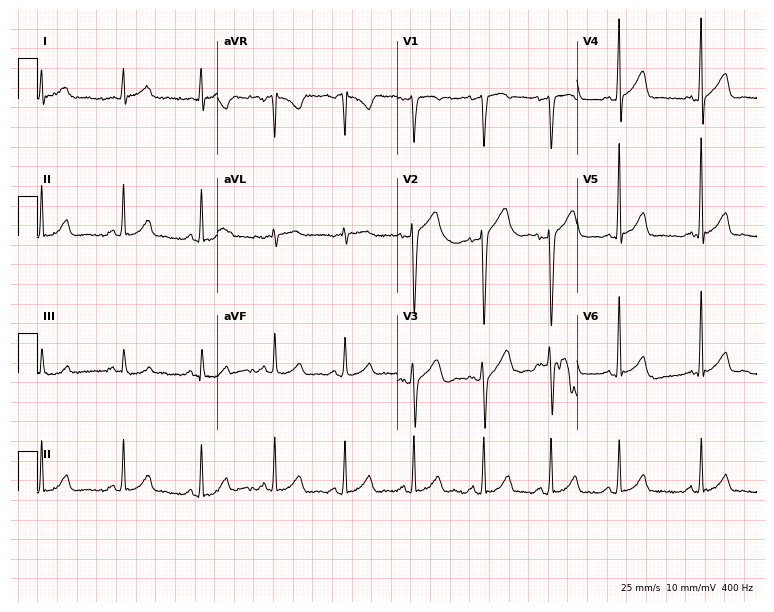
12-lead ECG from a 44-year-old male. No first-degree AV block, right bundle branch block, left bundle branch block, sinus bradycardia, atrial fibrillation or sinus tachycardia recorded for this tracing.